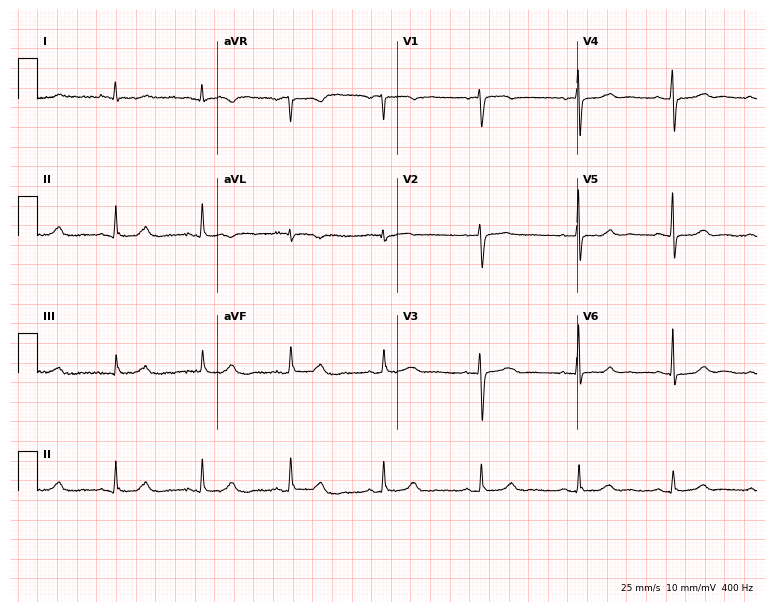
12-lead ECG from a 56-year-old female. Recorded interpretation: within normal limits.